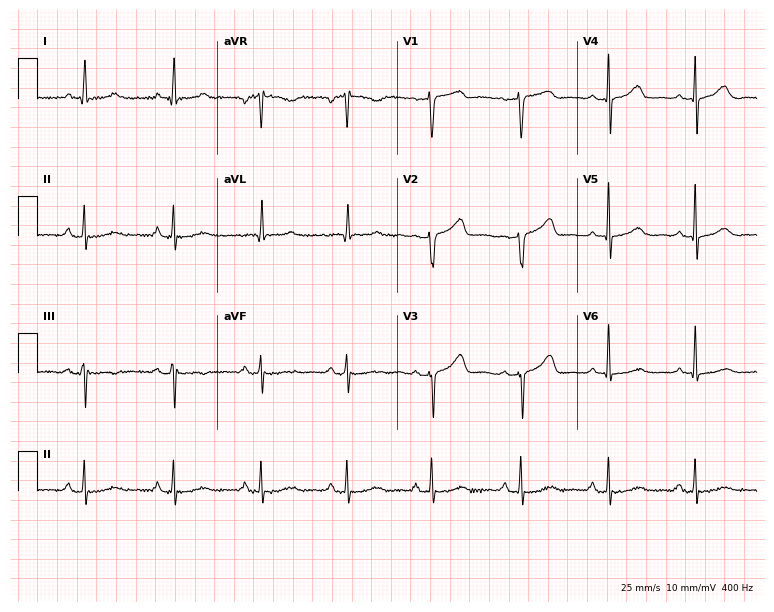
Electrocardiogram, a male, 69 years old. Overall reading on record: normal ECG.